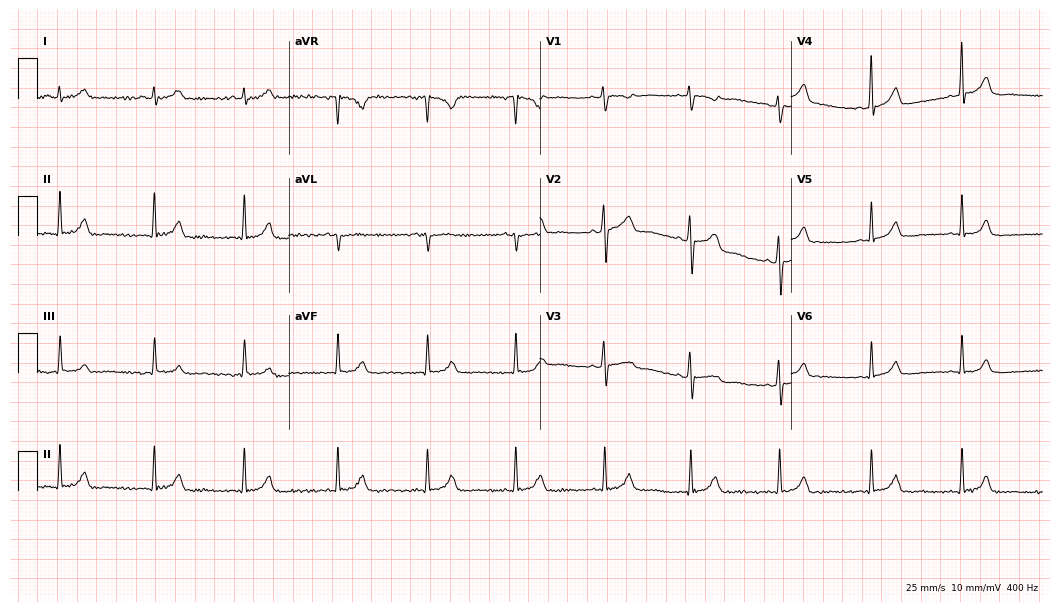
12-lead ECG from a 32-year-old female patient (10.2-second recording at 400 Hz). Recorded interpretation: within normal limits.